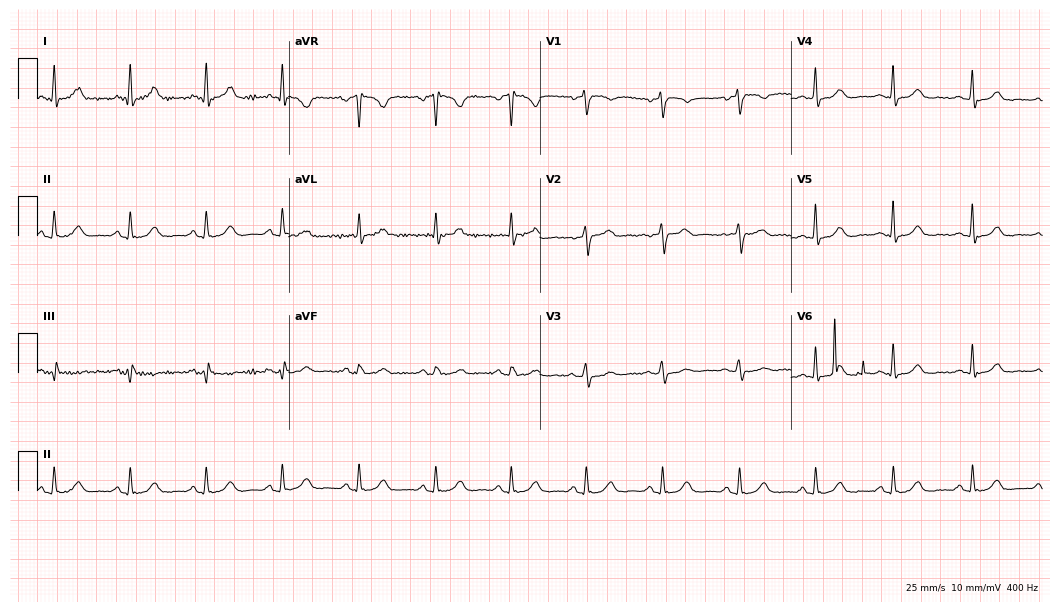
ECG — a woman, 62 years old. Labelled as a normal ECG.